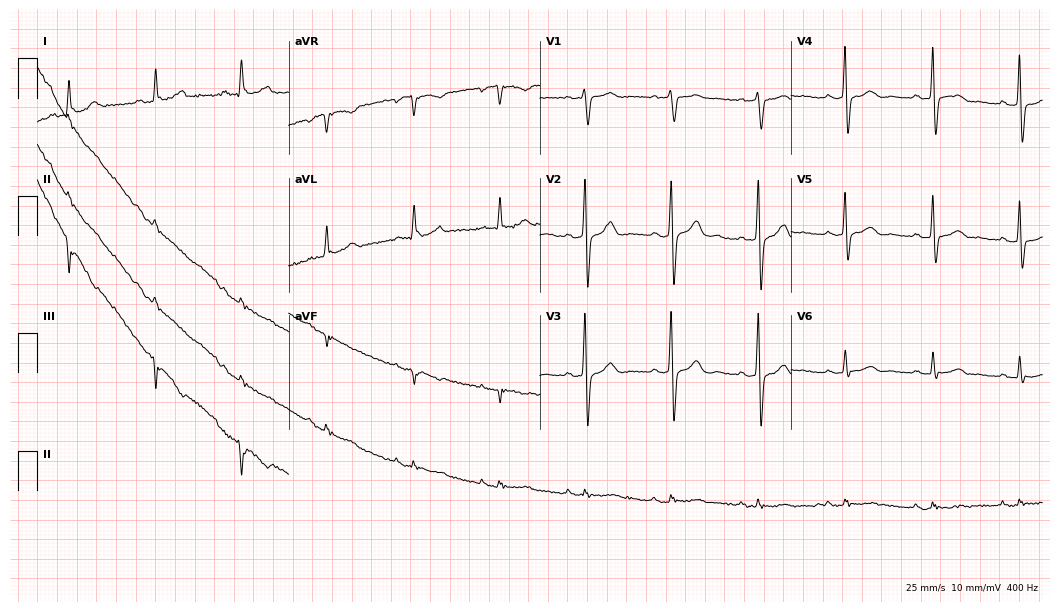
Resting 12-lead electrocardiogram (10.2-second recording at 400 Hz). Patient: a male, 63 years old. Read as a normal ECG.